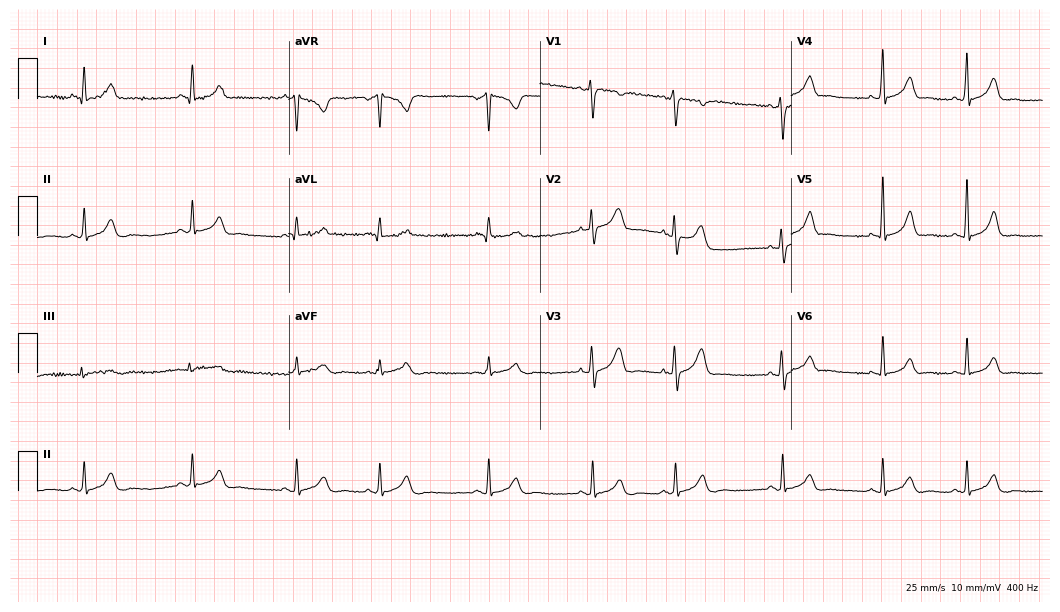
ECG (10.2-second recording at 400 Hz) — a 27-year-old female. Labelled as a normal ECG.